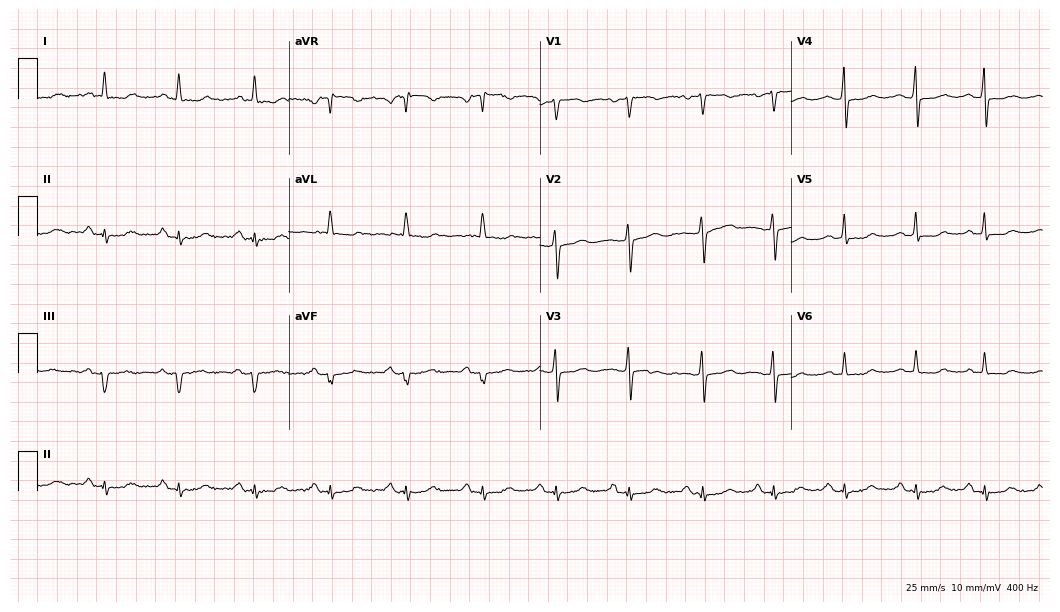
ECG — a woman, 50 years old. Screened for six findings — first-degree AV block, right bundle branch block, left bundle branch block, sinus bradycardia, atrial fibrillation, sinus tachycardia — none is recorded.